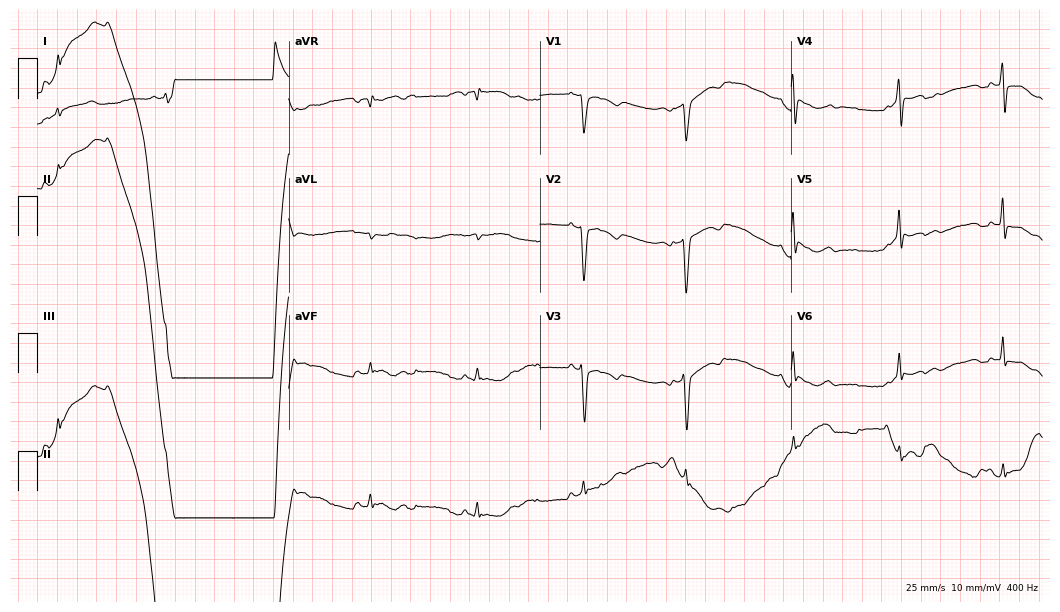
12-lead ECG from a female patient, 27 years old. No first-degree AV block, right bundle branch block, left bundle branch block, sinus bradycardia, atrial fibrillation or sinus tachycardia recorded for this tracing. Only these six findings were labelled.